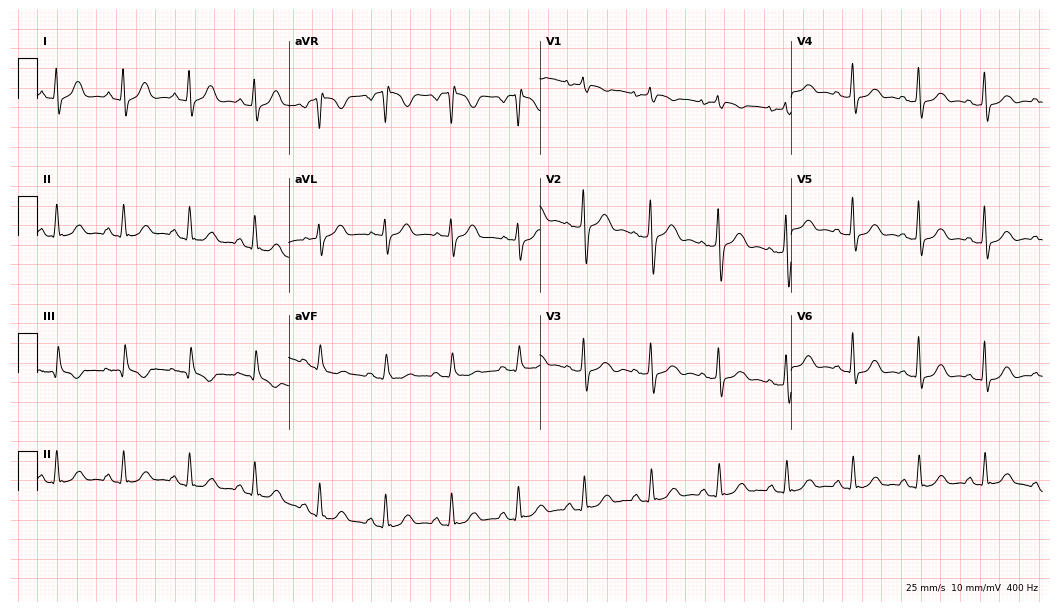
12-lead ECG from a 50-year-old female patient (10.2-second recording at 400 Hz). Recorded interpretation: within normal limits.